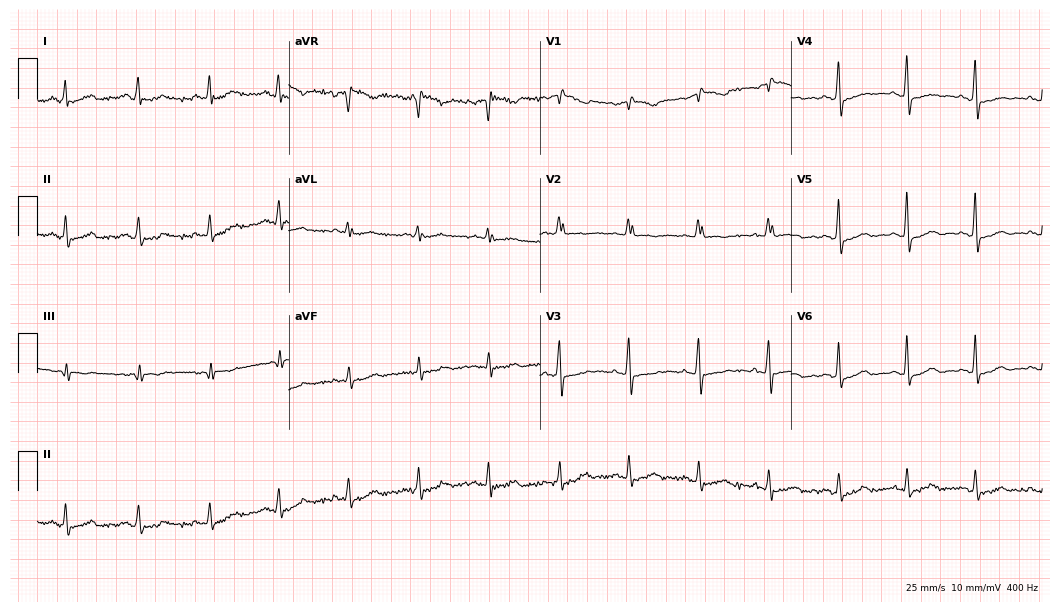
Resting 12-lead electrocardiogram (10.2-second recording at 400 Hz). Patient: a female, 60 years old. None of these six findings is recorded: first-degree AV block, right bundle branch block, left bundle branch block, sinus bradycardia, atrial fibrillation, sinus tachycardia.